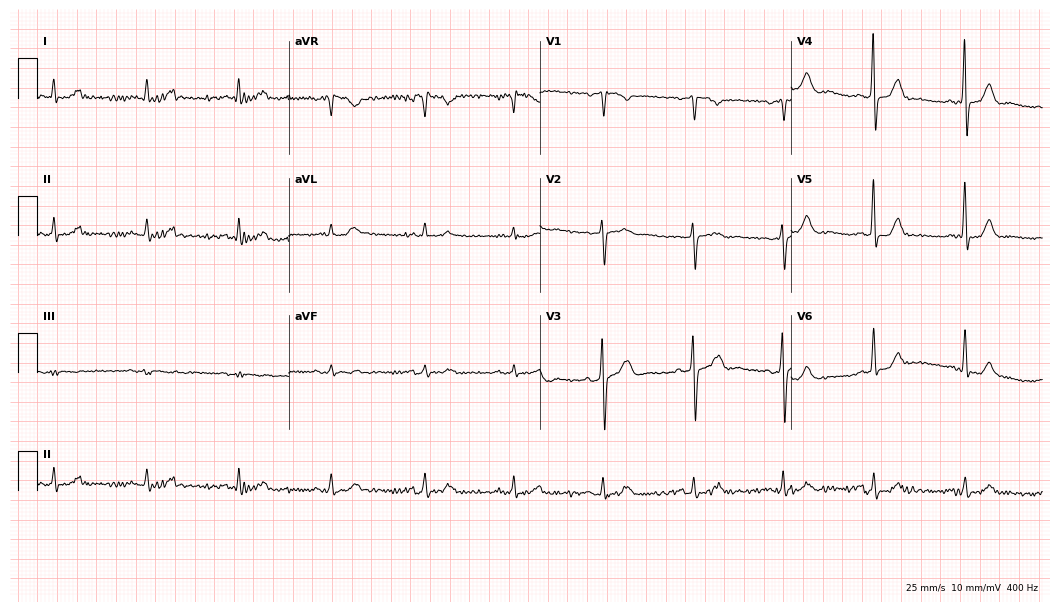
12-lead ECG from a male, 72 years old. No first-degree AV block, right bundle branch block, left bundle branch block, sinus bradycardia, atrial fibrillation or sinus tachycardia recorded for this tracing.